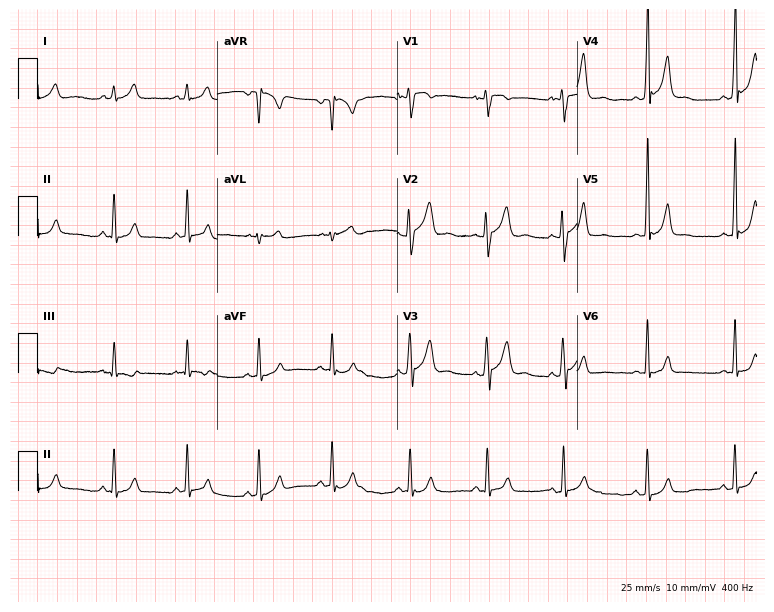
Standard 12-lead ECG recorded from a 24-year-old female (7.3-second recording at 400 Hz). Read as a normal ECG.